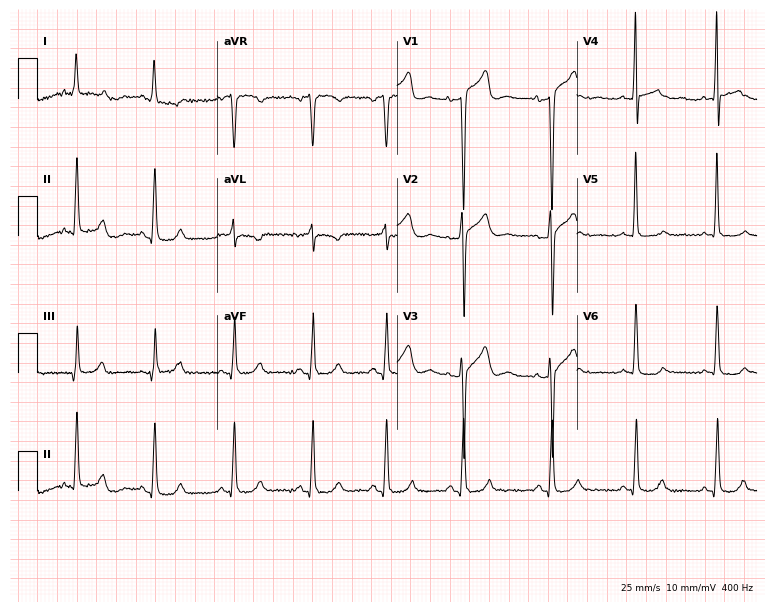
12-lead ECG from a man, 65 years old. Labelled as a normal ECG.